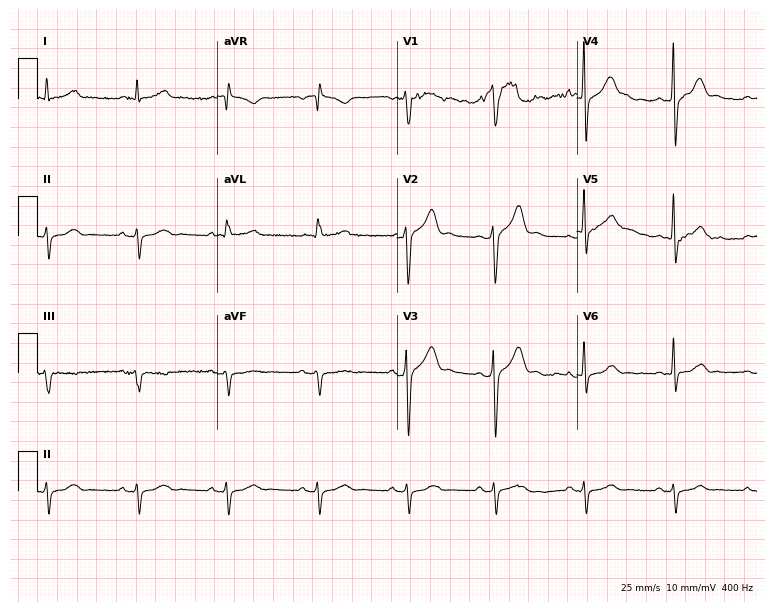
12-lead ECG from a 52-year-old male patient (7.3-second recording at 400 Hz). No first-degree AV block, right bundle branch block, left bundle branch block, sinus bradycardia, atrial fibrillation or sinus tachycardia recorded for this tracing. Findings outside these six are not listed.